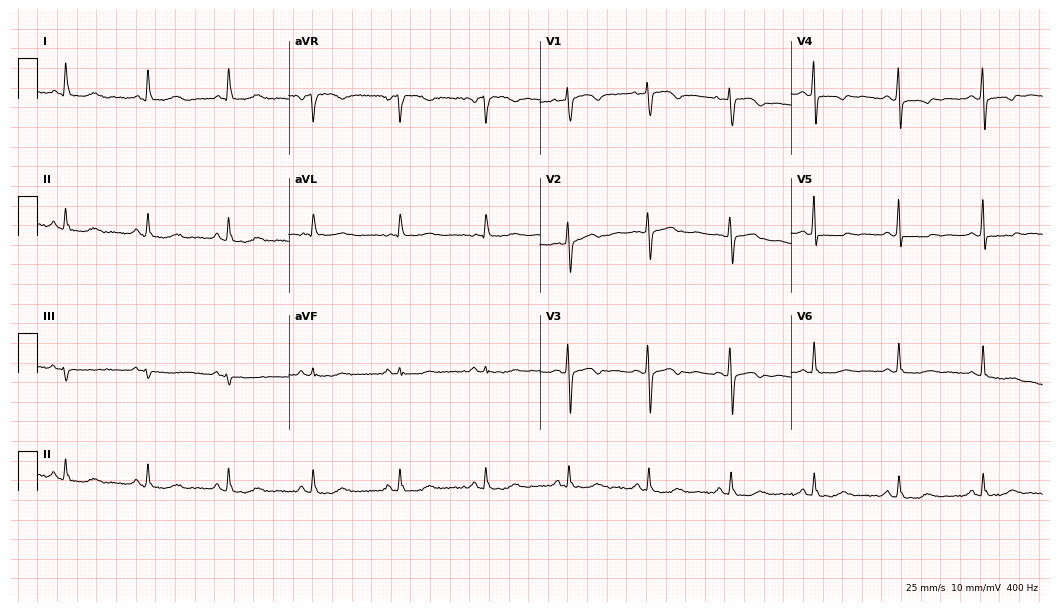
ECG (10.2-second recording at 400 Hz) — a female patient, 56 years old. Screened for six findings — first-degree AV block, right bundle branch block, left bundle branch block, sinus bradycardia, atrial fibrillation, sinus tachycardia — none is recorded. Other findings, if any, are not listed.